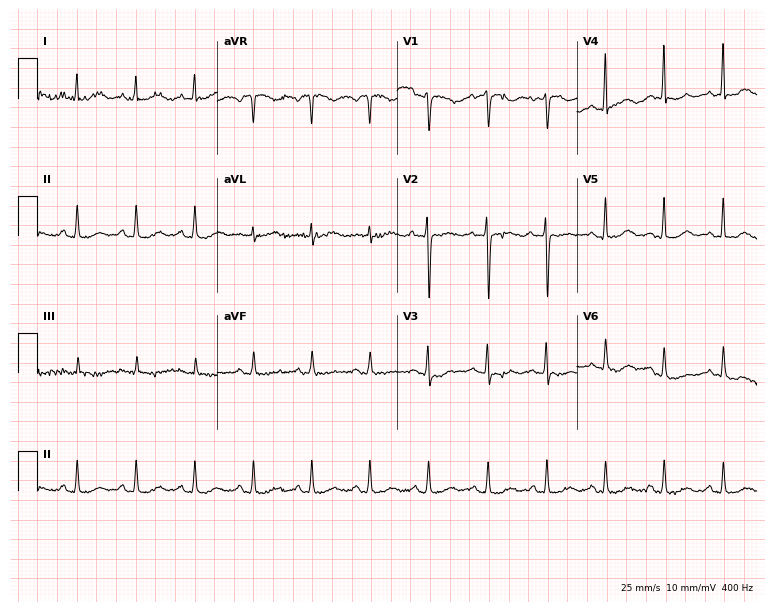
Standard 12-lead ECG recorded from a woman, 34 years old (7.3-second recording at 400 Hz). The tracing shows sinus tachycardia (a sinus rate of 100 beats per minute or more).